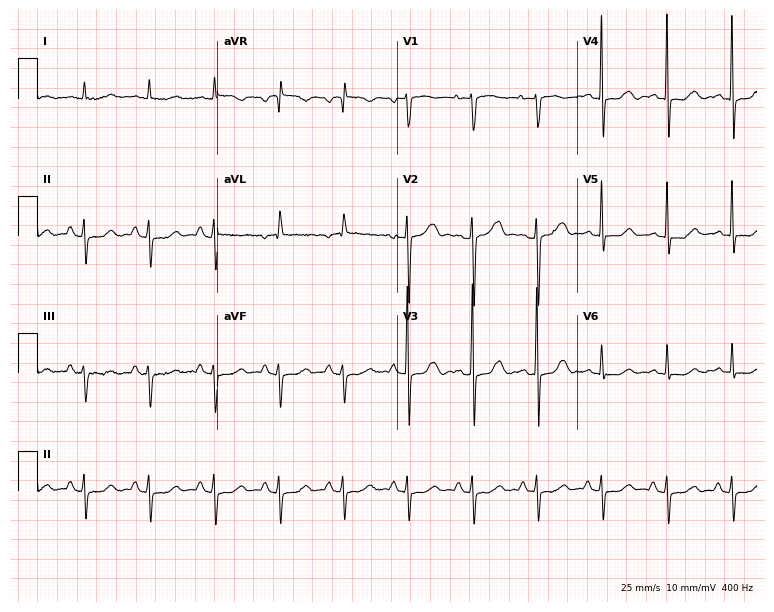
12-lead ECG from a 64-year-old female. Screened for six findings — first-degree AV block, right bundle branch block, left bundle branch block, sinus bradycardia, atrial fibrillation, sinus tachycardia — none is recorded. Only these six findings were labelled.